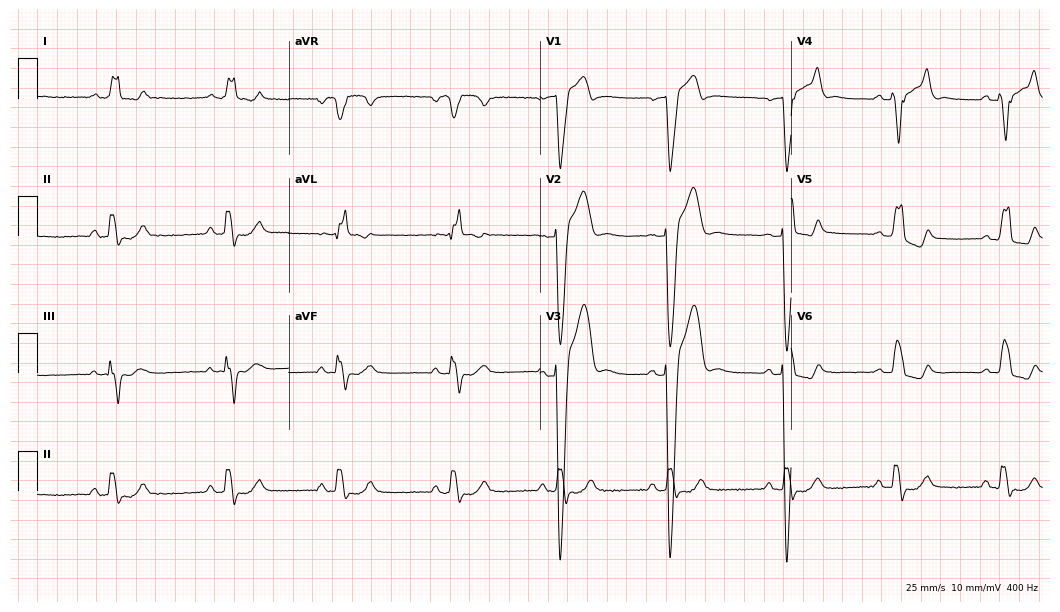
Standard 12-lead ECG recorded from a male patient, 37 years old (10.2-second recording at 400 Hz). The tracing shows left bundle branch block (LBBB).